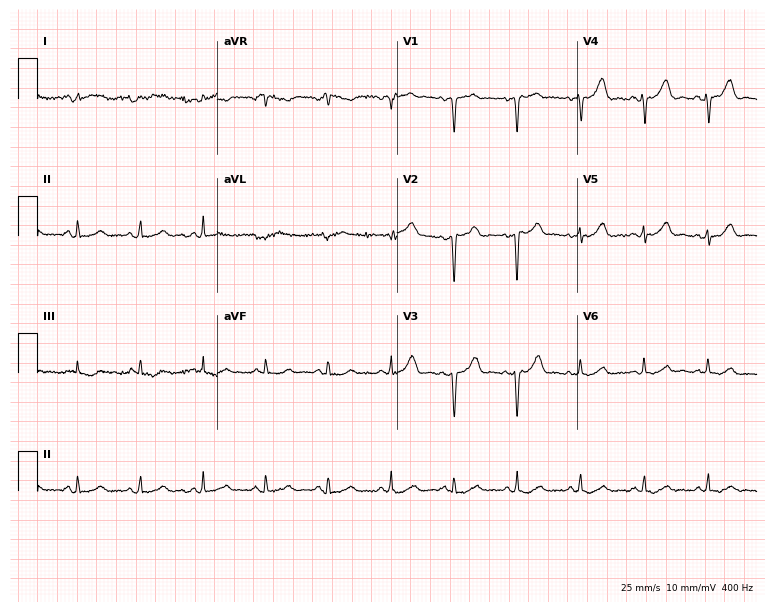
12-lead ECG from a male, 64 years old. No first-degree AV block, right bundle branch block, left bundle branch block, sinus bradycardia, atrial fibrillation or sinus tachycardia recorded for this tracing.